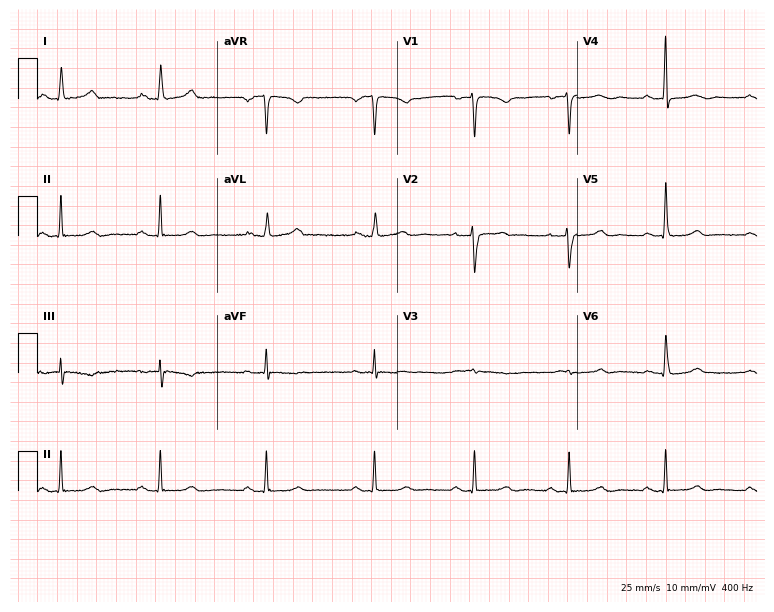
Resting 12-lead electrocardiogram (7.3-second recording at 400 Hz). Patient: a 43-year-old female. None of these six findings is recorded: first-degree AV block, right bundle branch block, left bundle branch block, sinus bradycardia, atrial fibrillation, sinus tachycardia.